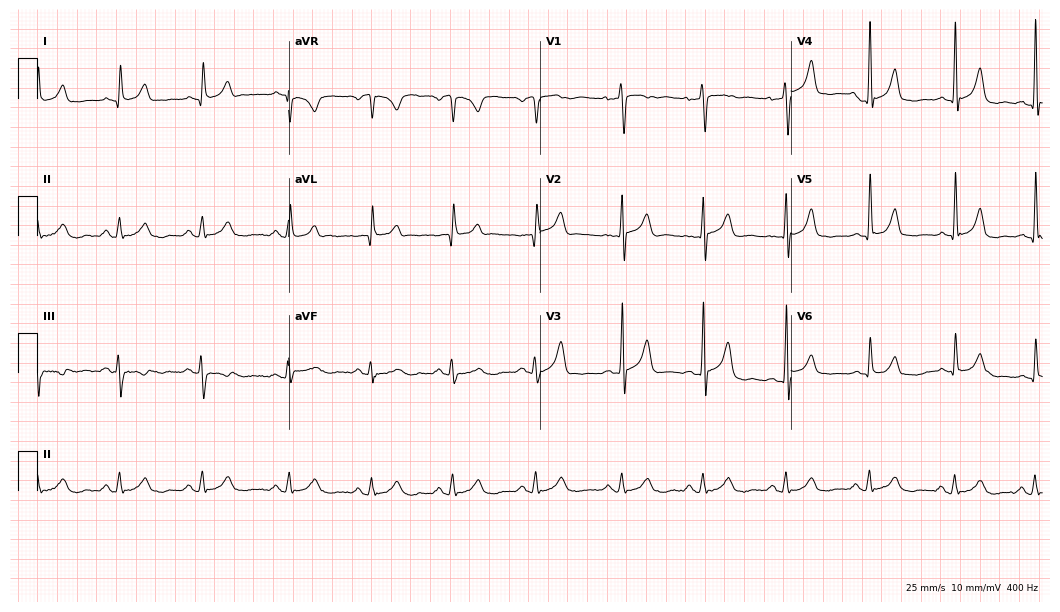
12-lead ECG (10.2-second recording at 400 Hz) from a male, 56 years old. Screened for six findings — first-degree AV block, right bundle branch block, left bundle branch block, sinus bradycardia, atrial fibrillation, sinus tachycardia — none is recorded. Findings outside these six are not listed.